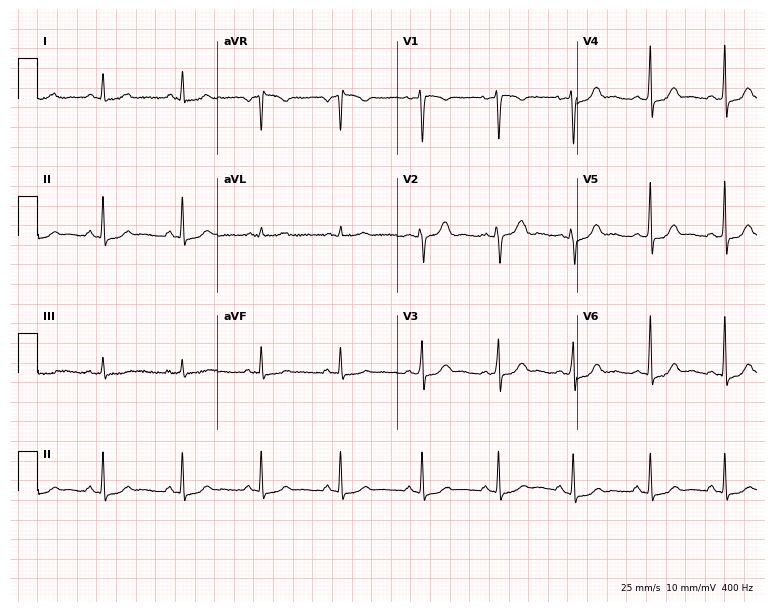
Standard 12-lead ECG recorded from a 22-year-old female patient (7.3-second recording at 400 Hz). None of these six findings is recorded: first-degree AV block, right bundle branch block (RBBB), left bundle branch block (LBBB), sinus bradycardia, atrial fibrillation (AF), sinus tachycardia. Other findings, if any, are not listed.